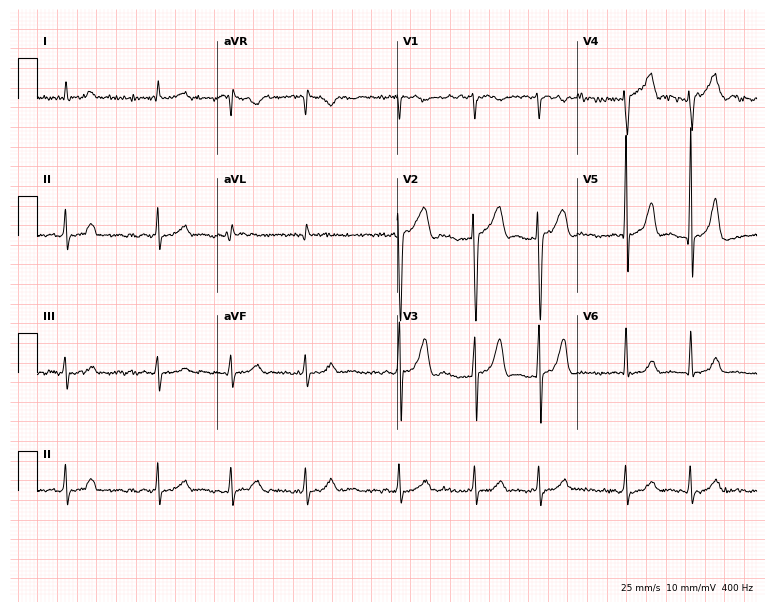
Resting 12-lead electrocardiogram. Patient: a man, 83 years old. The tracing shows atrial fibrillation.